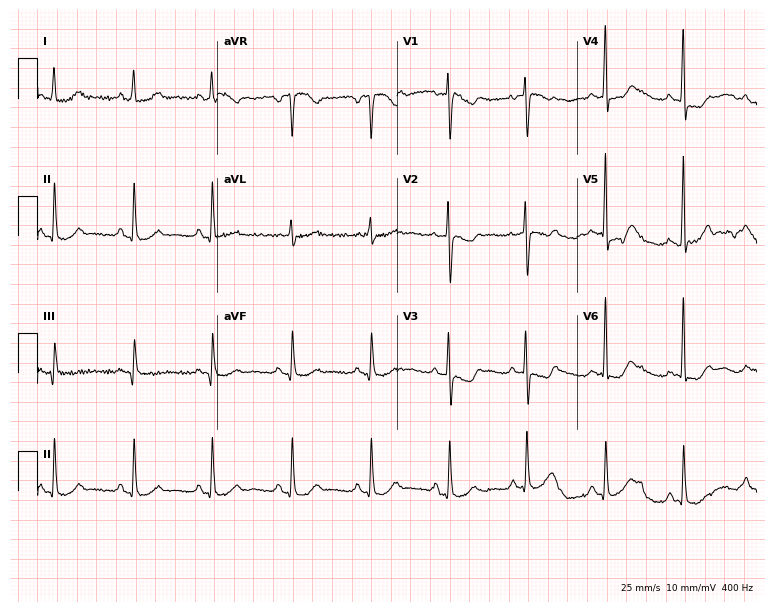
Electrocardiogram, a female, 61 years old. Of the six screened findings (first-degree AV block, right bundle branch block (RBBB), left bundle branch block (LBBB), sinus bradycardia, atrial fibrillation (AF), sinus tachycardia), none is recorded.